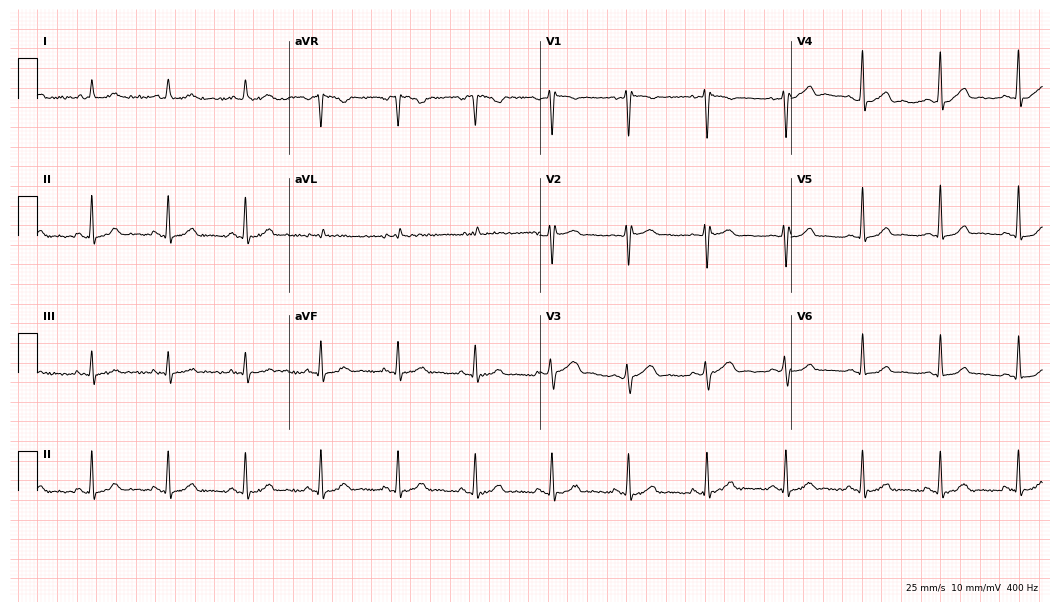
12-lead ECG (10.2-second recording at 400 Hz) from a 49-year-old female patient. Labelled as a normal ECG.